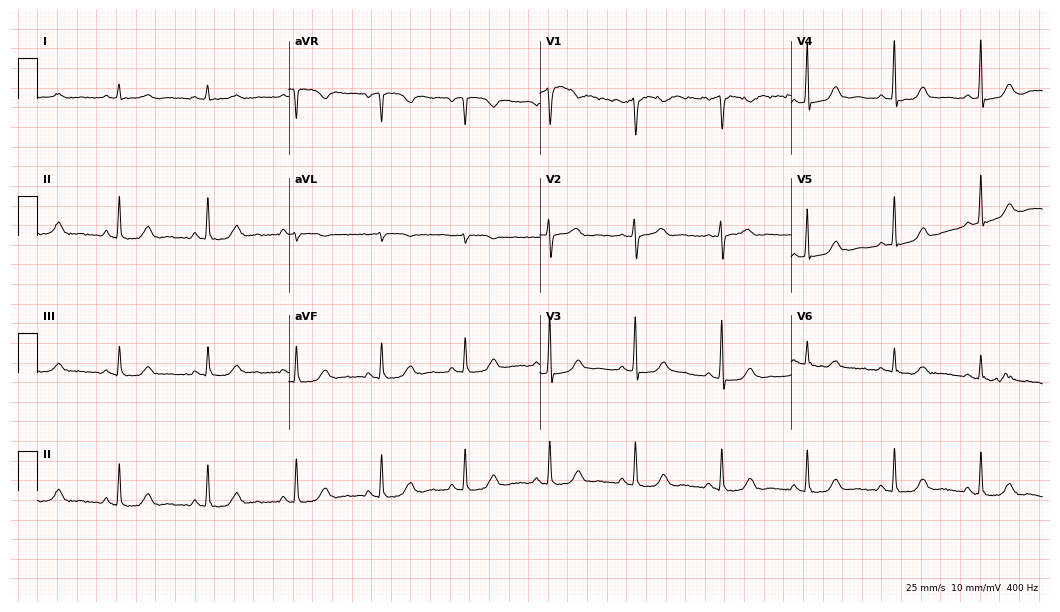
12-lead ECG from a woman, 53 years old. Recorded interpretation: within normal limits.